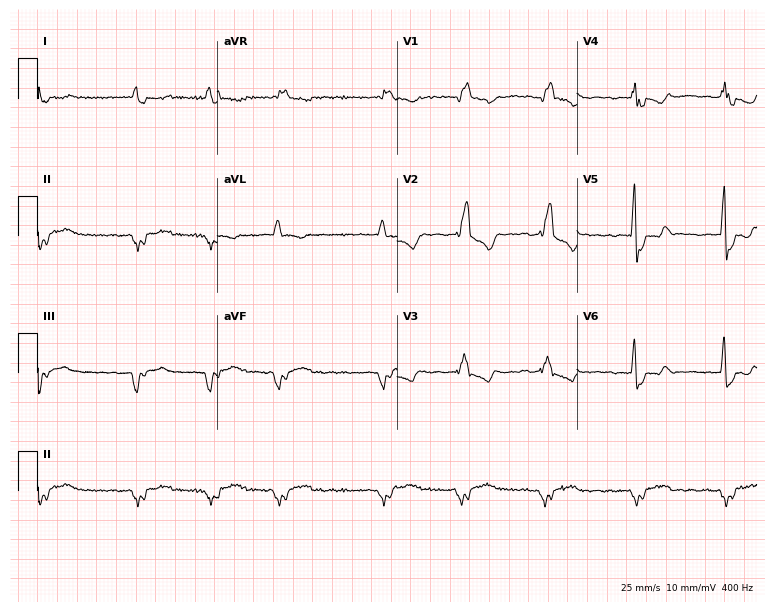
Resting 12-lead electrocardiogram. Patient: a male, 55 years old. The tracing shows right bundle branch block, atrial fibrillation.